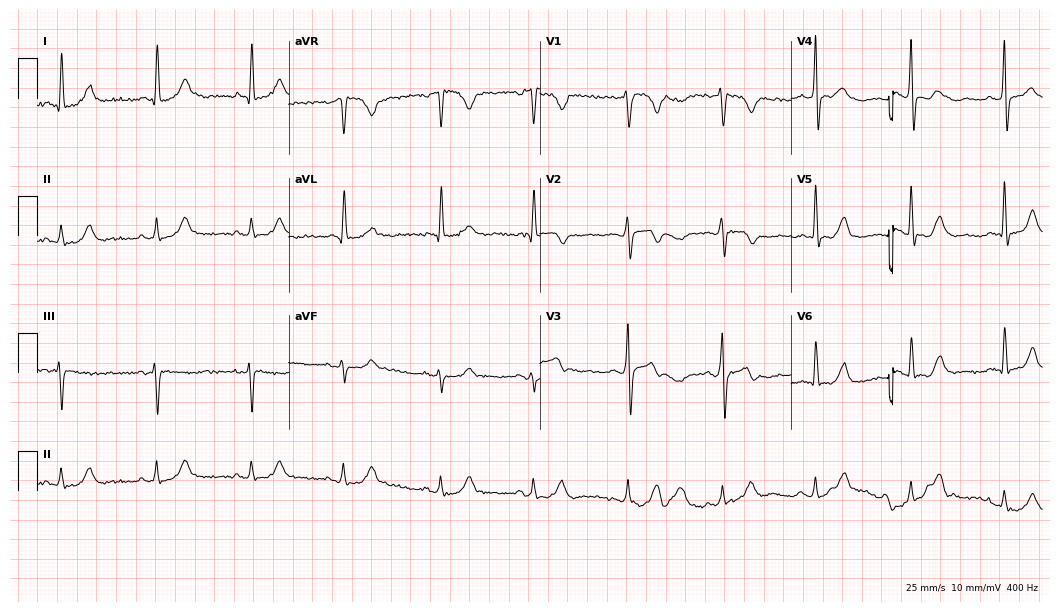
12-lead ECG (10.2-second recording at 400 Hz) from a 54-year-old male. Screened for six findings — first-degree AV block, right bundle branch block, left bundle branch block, sinus bradycardia, atrial fibrillation, sinus tachycardia — none is recorded.